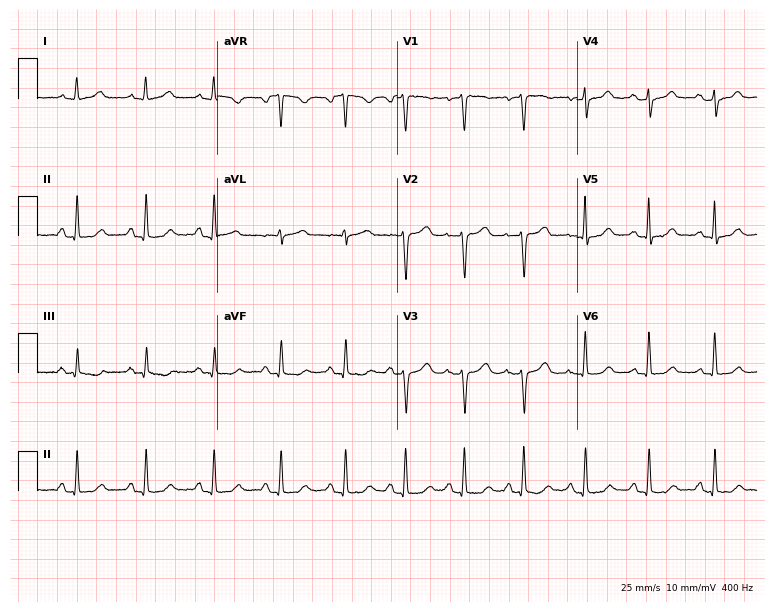
Resting 12-lead electrocardiogram (7.3-second recording at 400 Hz). Patient: a woman, 50 years old. Read as a normal ECG.